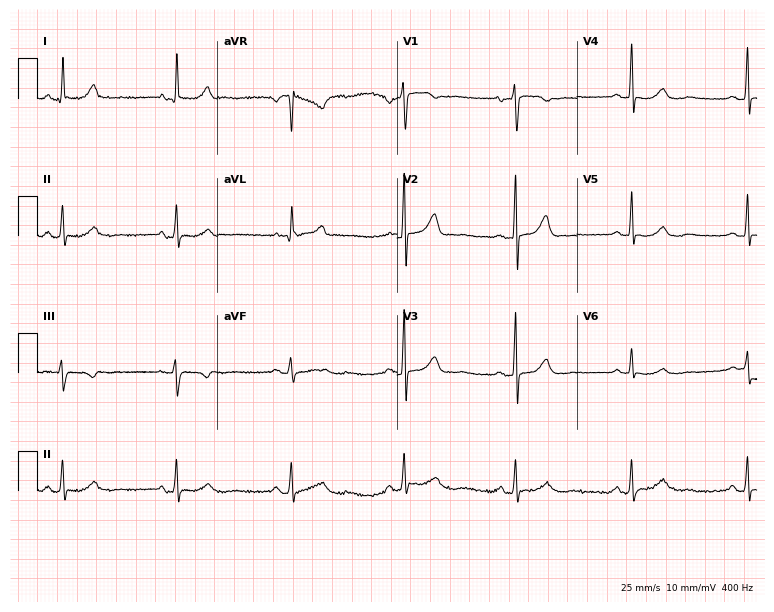
12-lead ECG from a woman, 60 years old (7.3-second recording at 400 Hz). No first-degree AV block, right bundle branch block, left bundle branch block, sinus bradycardia, atrial fibrillation or sinus tachycardia recorded for this tracing.